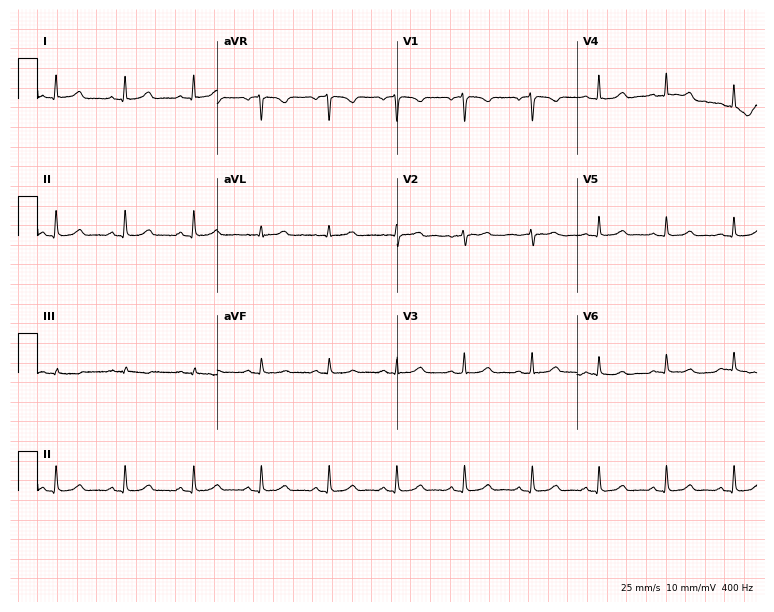
12-lead ECG (7.3-second recording at 400 Hz) from a 44-year-old female. Labelled as a normal ECG.